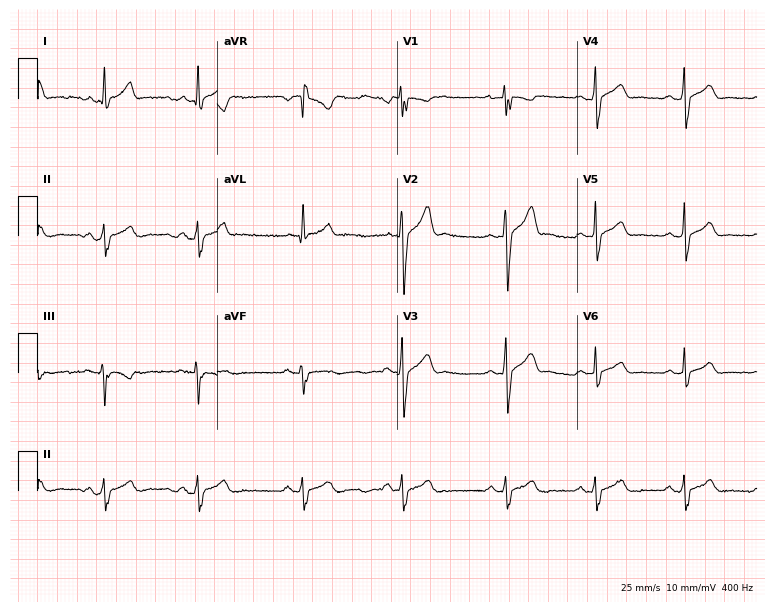
Standard 12-lead ECG recorded from a man, 23 years old. None of these six findings is recorded: first-degree AV block, right bundle branch block, left bundle branch block, sinus bradycardia, atrial fibrillation, sinus tachycardia.